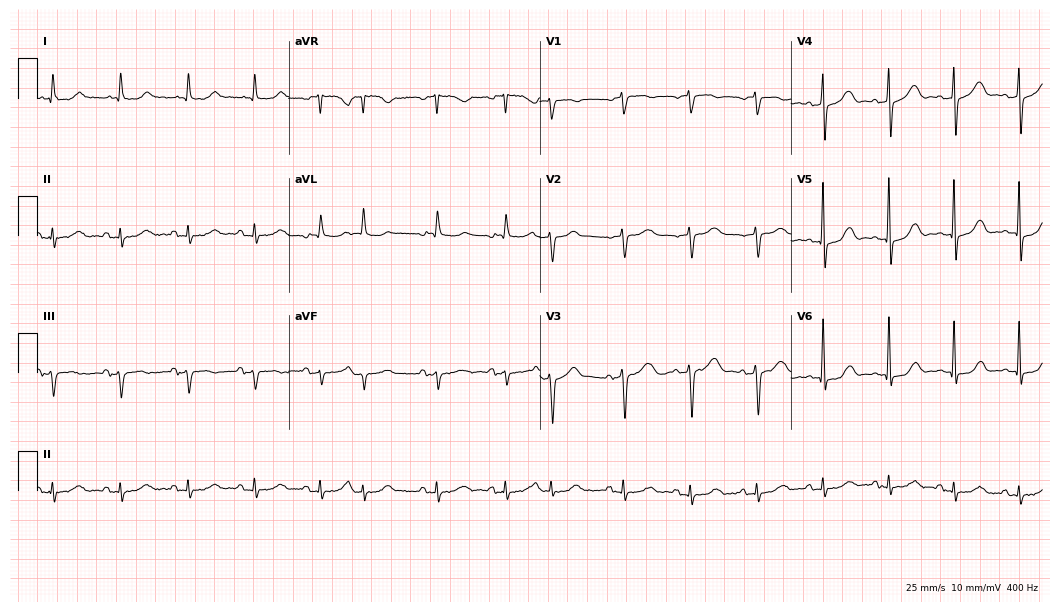
Resting 12-lead electrocardiogram. Patient: a 72-year-old man. Read as a normal ECG.